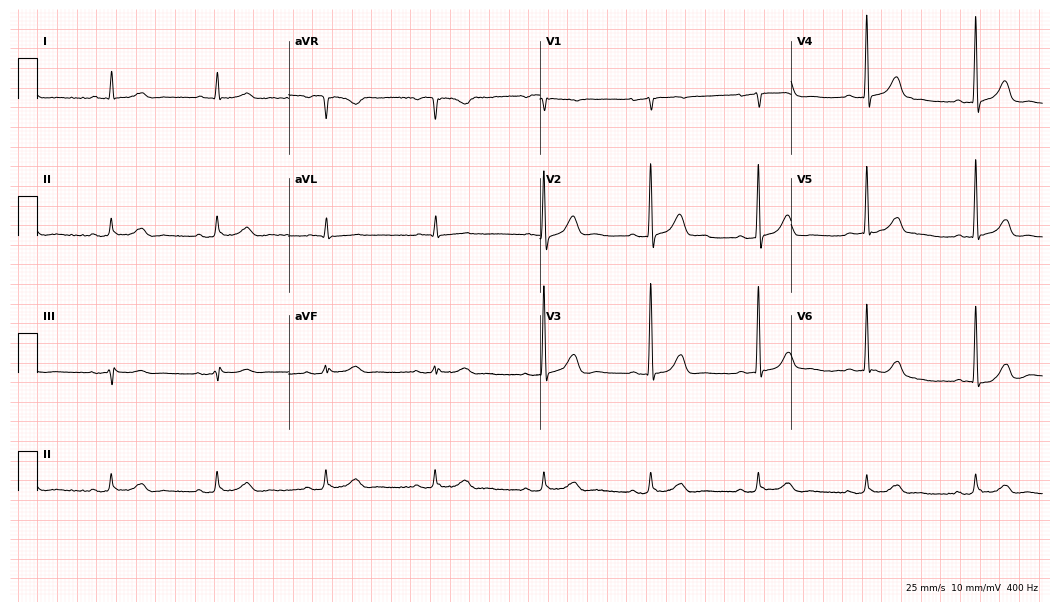
Resting 12-lead electrocardiogram (10.2-second recording at 400 Hz). Patient: a male, 85 years old. Read as a normal ECG.